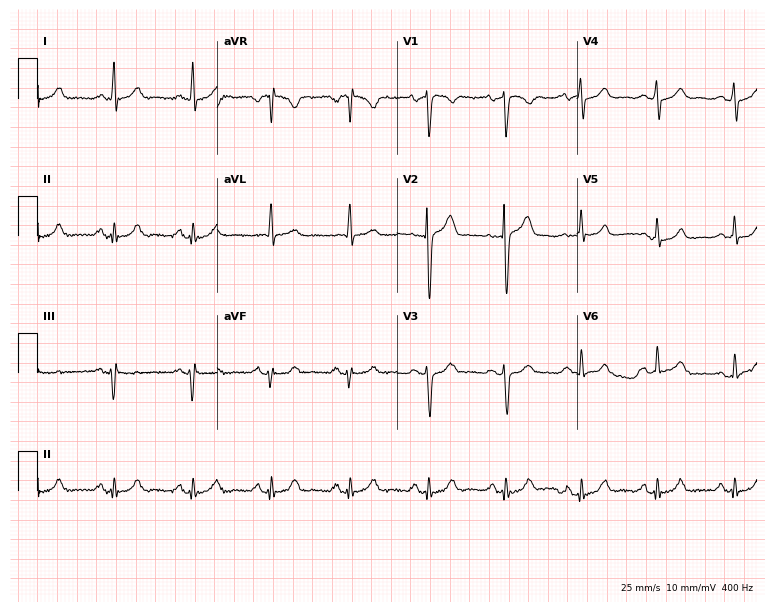
Standard 12-lead ECG recorded from a man, 36 years old. None of these six findings is recorded: first-degree AV block, right bundle branch block (RBBB), left bundle branch block (LBBB), sinus bradycardia, atrial fibrillation (AF), sinus tachycardia. Only these six findings were labelled.